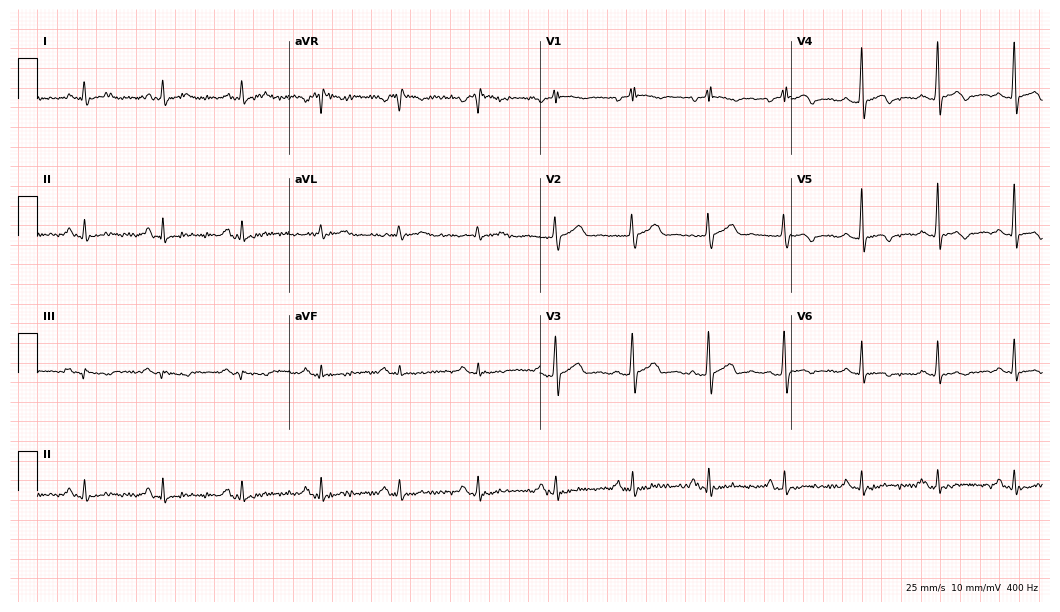
12-lead ECG from a male patient, 63 years old (10.2-second recording at 400 Hz). No first-degree AV block, right bundle branch block, left bundle branch block, sinus bradycardia, atrial fibrillation or sinus tachycardia recorded for this tracing. Findings outside these six are not listed.